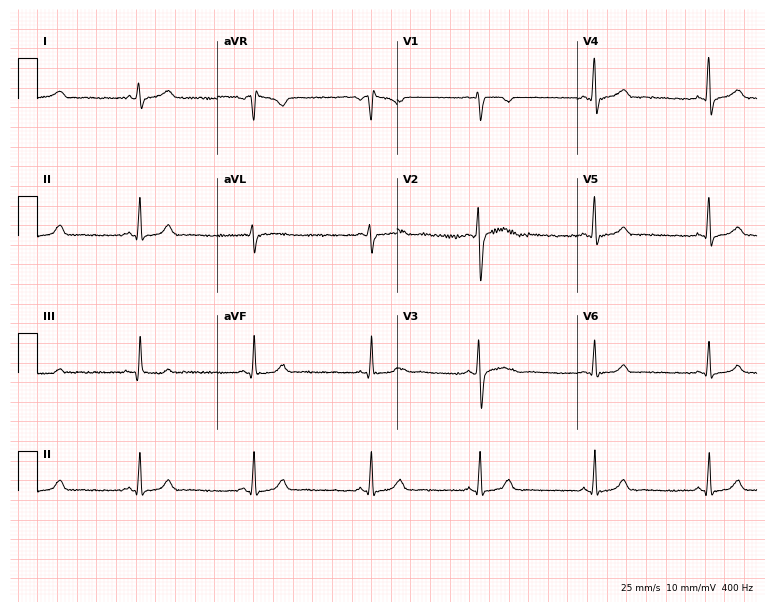
Standard 12-lead ECG recorded from a female patient, 29 years old. Read as a normal ECG.